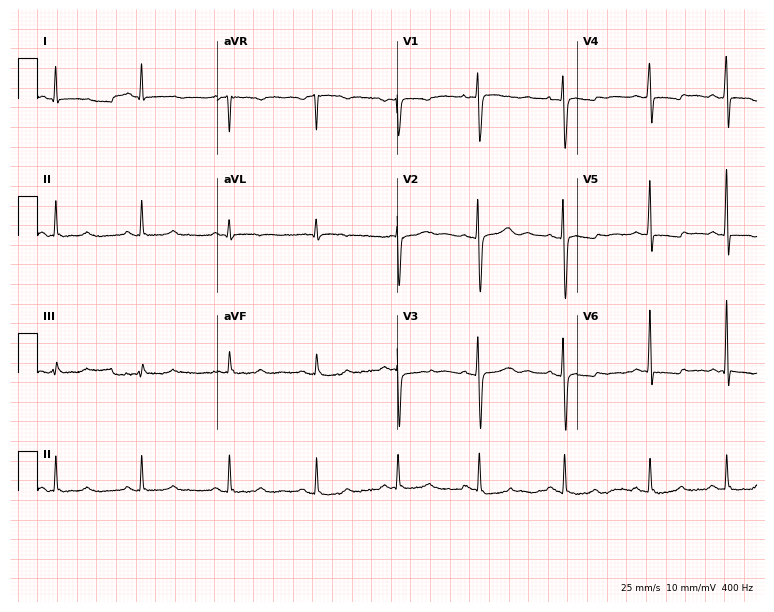
Resting 12-lead electrocardiogram (7.3-second recording at 400 Hz). Patient: a female, 26 years old. None of these six findings is recorded: first-degree AV block, right bundle branch block, left bundle branch block, sinus bradycardia, atrial fibrillation, sinus tachycardia.